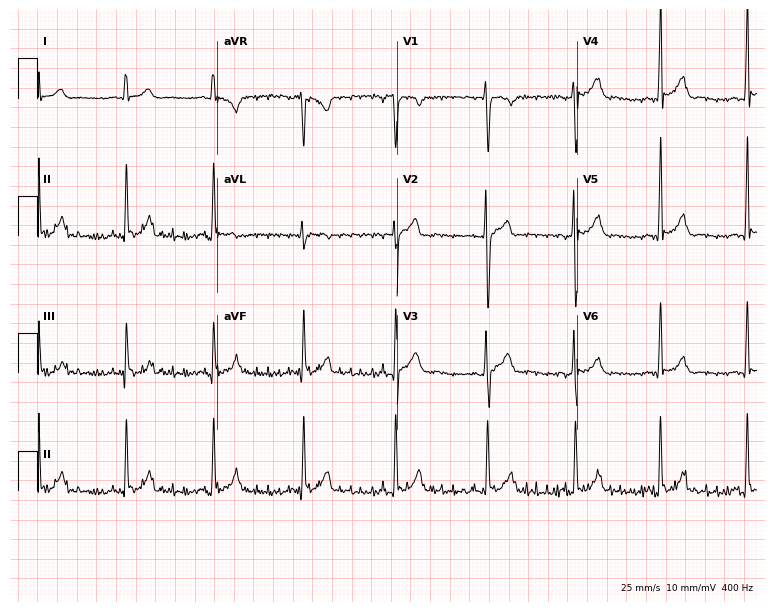
Standard 12-lead ECG recorded from a man, 27 years old. Read as a normal ECG.